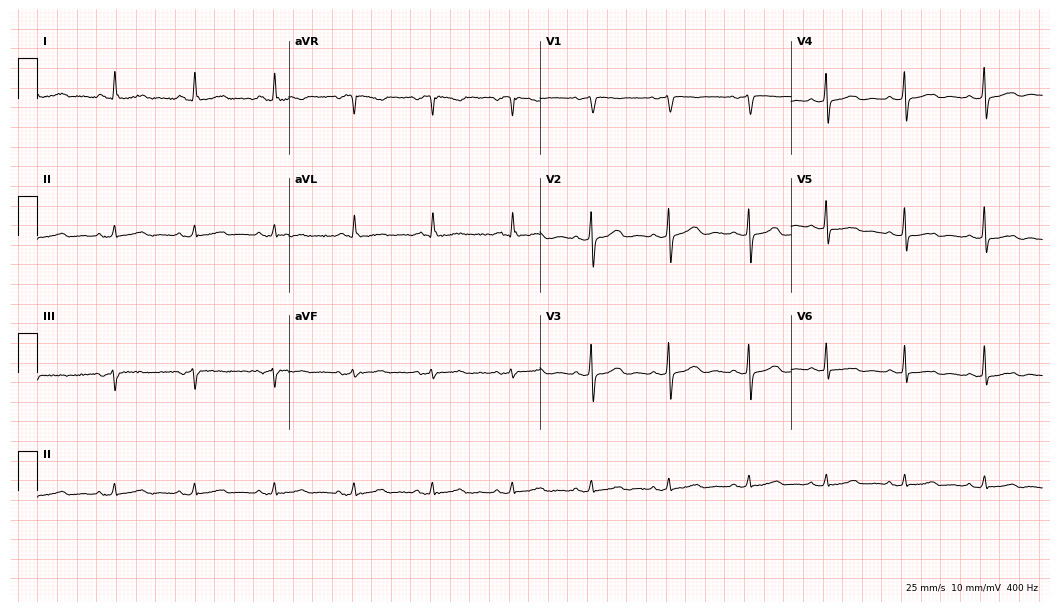
Electrocardiogram, a 62-year-old woman. Of the six screened findings (first-degree AV block, right bundle branch block, left bundle branch block, sinus bradycardia, atrial fibrillation, sinus tachycardia), none is recorded.